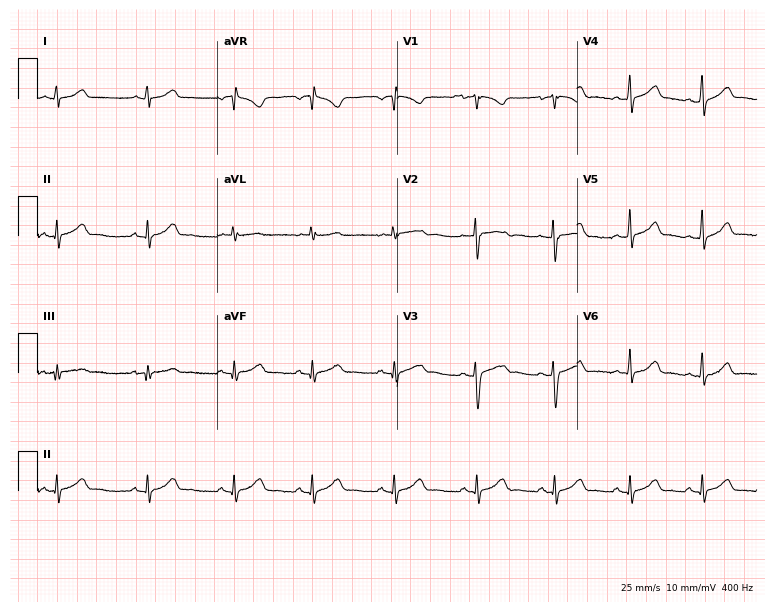
Standard 12-lead ECG recorded from a 21-year-old woman. Read as a normal ECG.